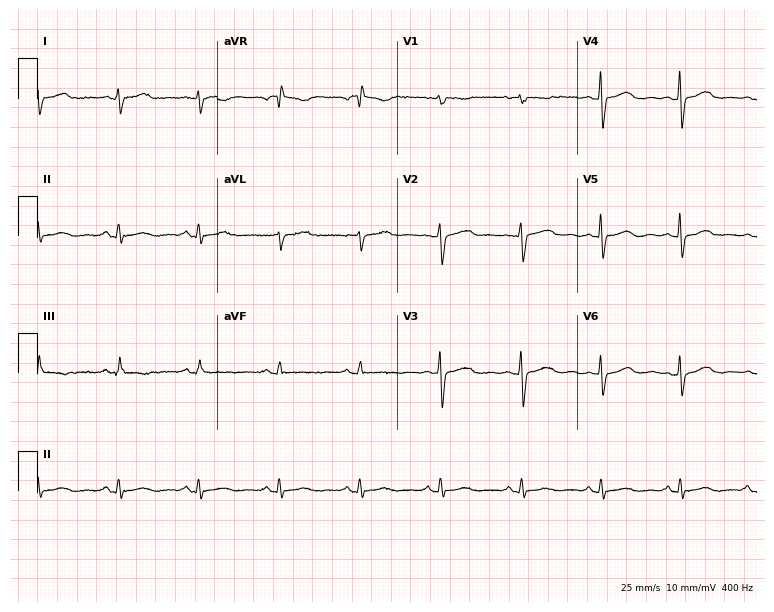
Resting 12-lead electrocardiogram (7.3-second recording at 400 Hz). Patient: a 38-year-old female. None of these six findings is recorded: first-degree AV block, right bundle branch block (RBBB), left bundle branch block (LBBB), sinus bradycardia, atrial fibrillation (AF), sinus tachycardia. Only these six findings were labelled.